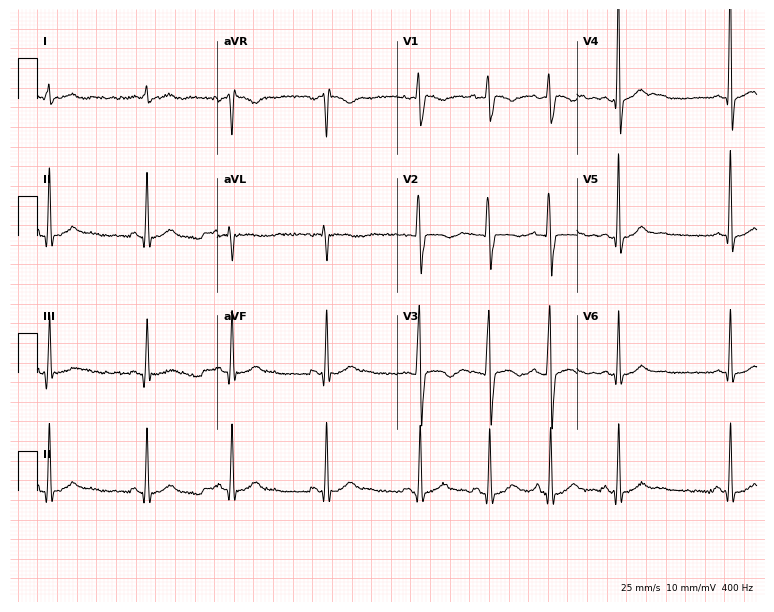
12-lead ECG from a female, 18 years old. Recorded interpretation: within normal limits.